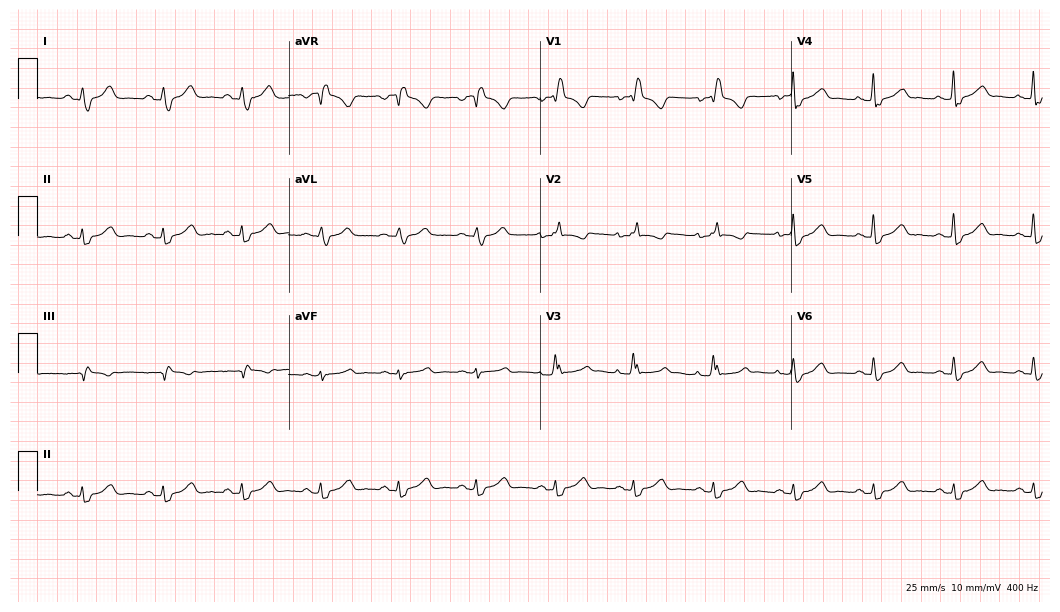
ECG (10.2-second recording at 400 Hz) — a 39-year-old female. Findings include right bundle branch block.